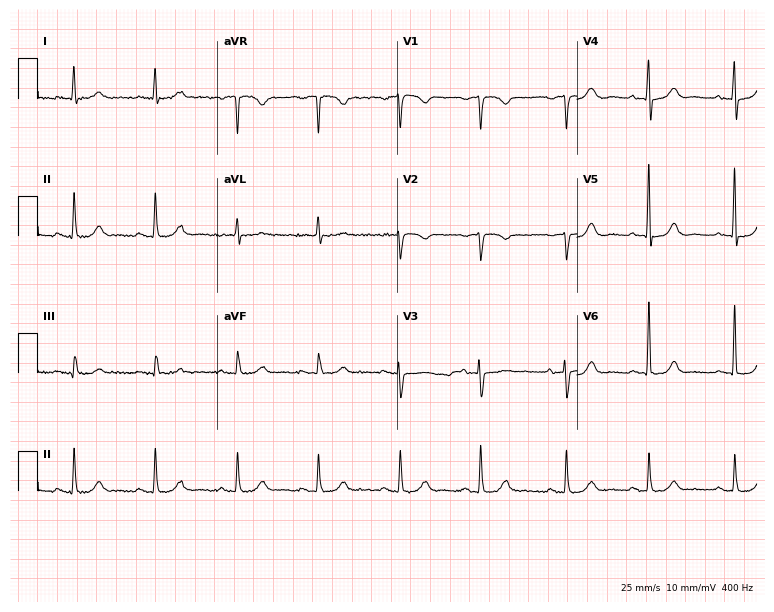
Resting 12-lead electrocardiogram. Patient: a female, 39 years old. Read as a normal ECG.